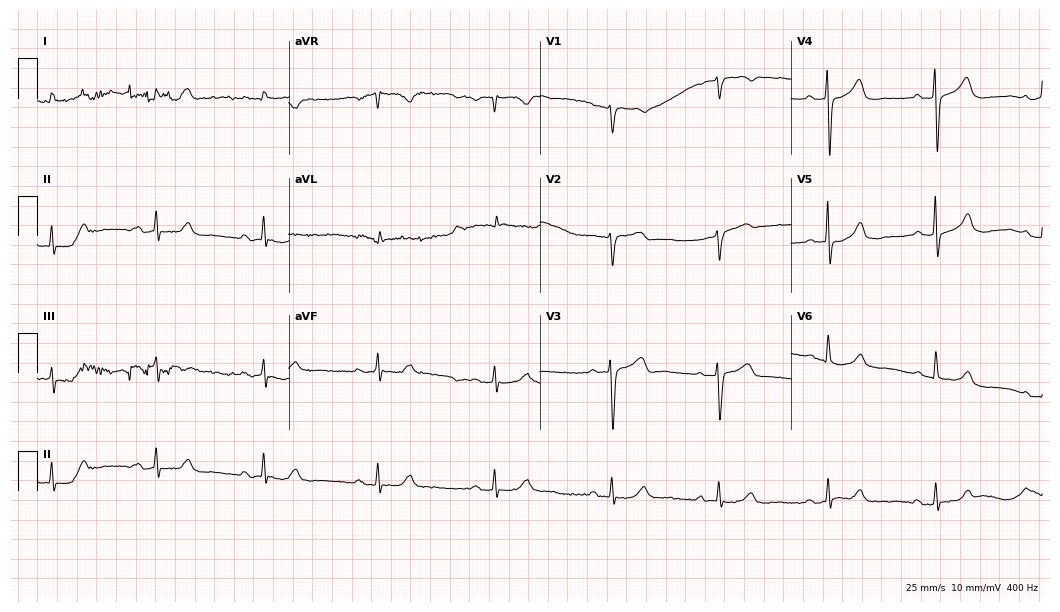
12-lead ECG from a 59-year-old woman (10.2-second recording at 400 Hz). Recorded interpretation: within normal limits.